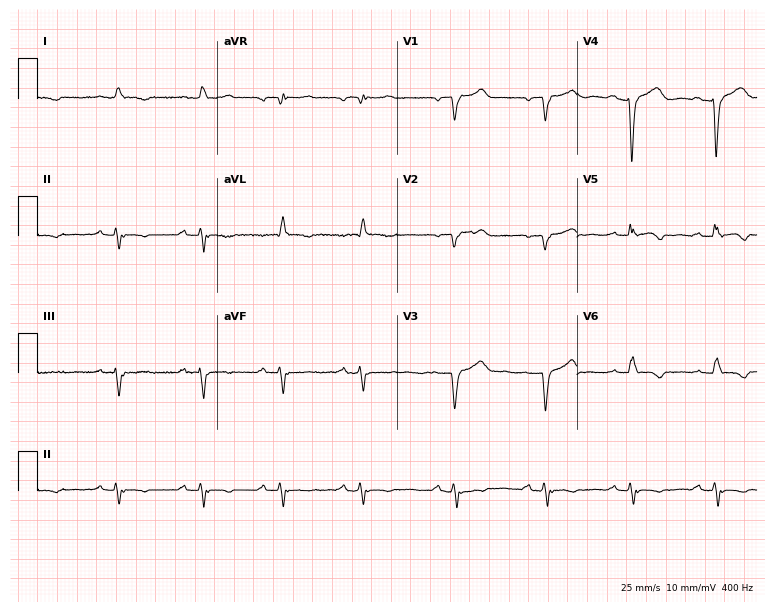
Electrocardiogram, a 68-year-old male patient. Of the six screened findings (first-degree AV block, right bundle branch block, left bundle branch block, sinus bradycardia, atrial fibrillation, sinus tachycardia), none is recorded.